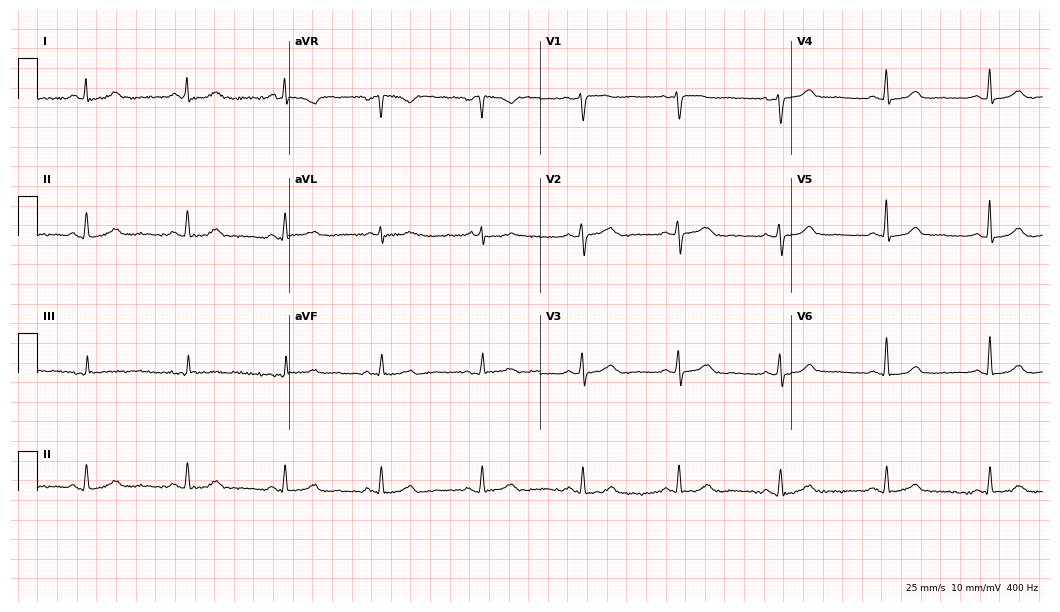
Resting 12-lead electrocardiogram (10.2-second recording at 400 Hz). Patient: a woman, 42 years old. Read as a normal ECG.